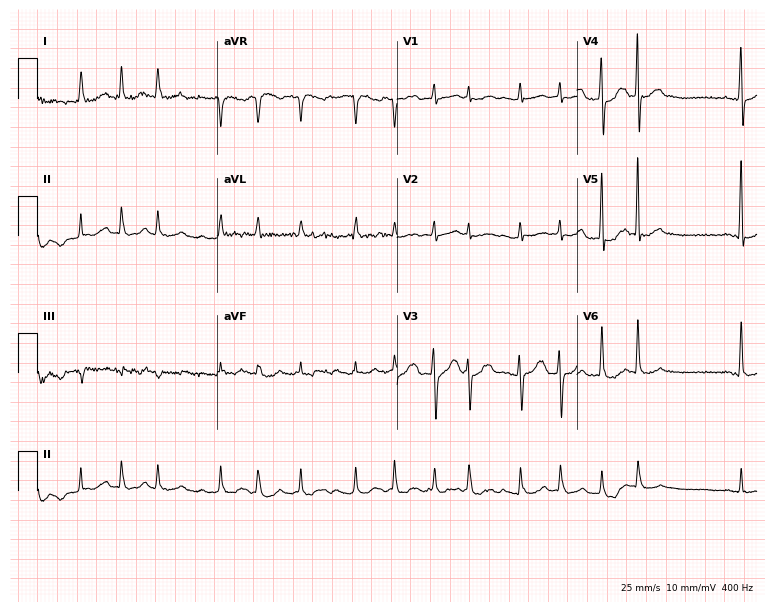
Electrocardiogram, a woman, 68 years old. Of the six screened findings (first-degree AV block, right bundle branch block, left bundle branch block, sinus bradycardia, atrial fibrillation, sinus tachycardia), none is recorded.